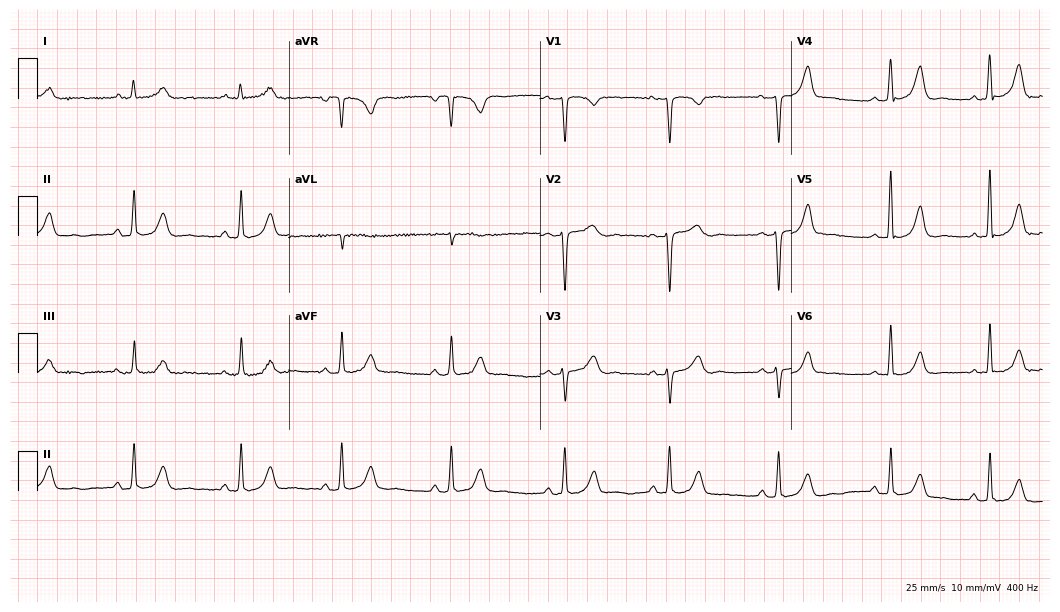
Standard 12-lead ECG recorded from a female patient, 33 years old (10.2-second recording at 400 Hz). None of these six findings is recorded: first-degree AV block, right bundle branch block, left bundle branch block, sinus bradycardia, atrial fibrillation, sinus tachycardia. Other findings, if any, are not listed.